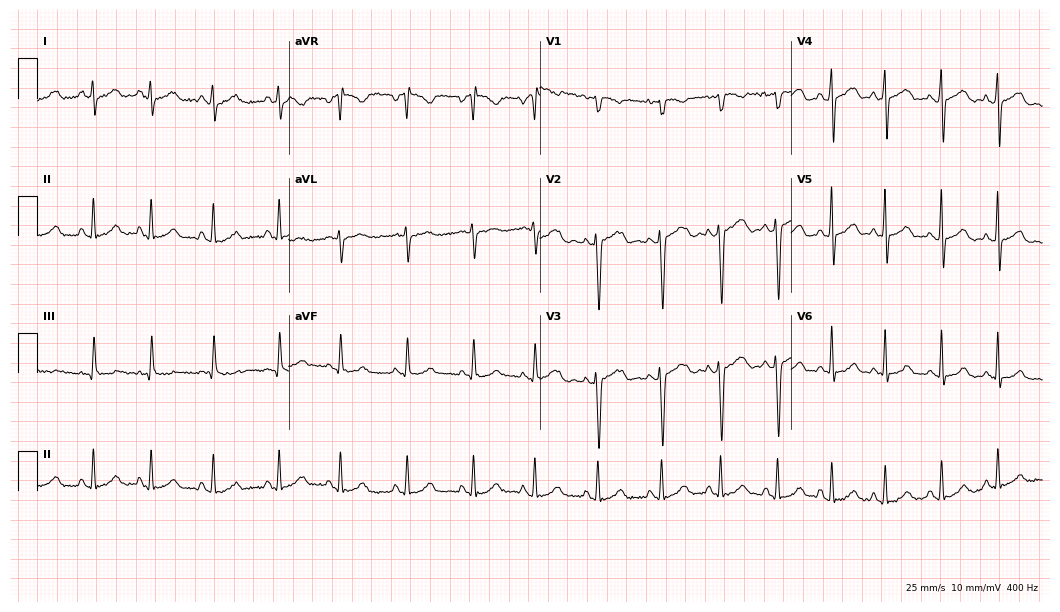
Standard 12-lead ECG recorded from a 22-year-old female patient. None of these six findings is recorded: first-degree AV block, right bundle branch block, left bundle branch block, sinus bradycardia, atrial fibrillation, sinus tachycardia. Only these six findings were labelled.